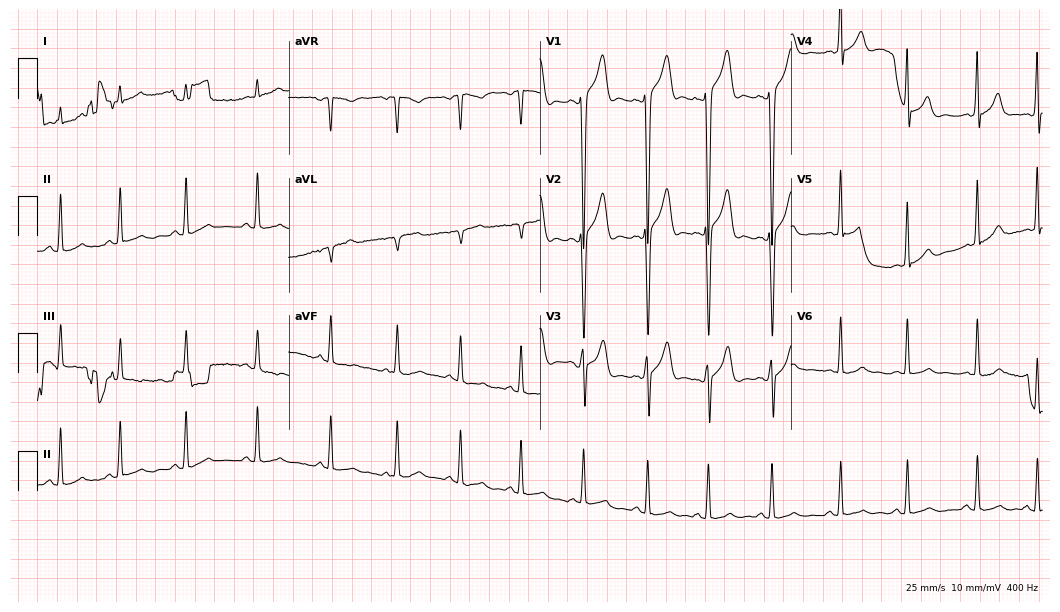
12-lead ECG (10.2-second recording at 400 Hz) from a 31-year-old male. Labelled as a normal ECG.